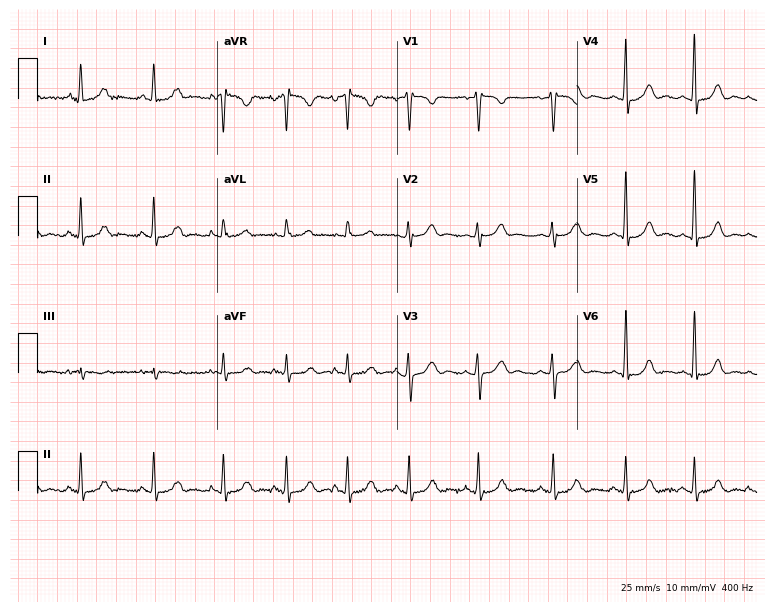
ECG — an 18-year-old female patient. Labelled as a normal ECG.